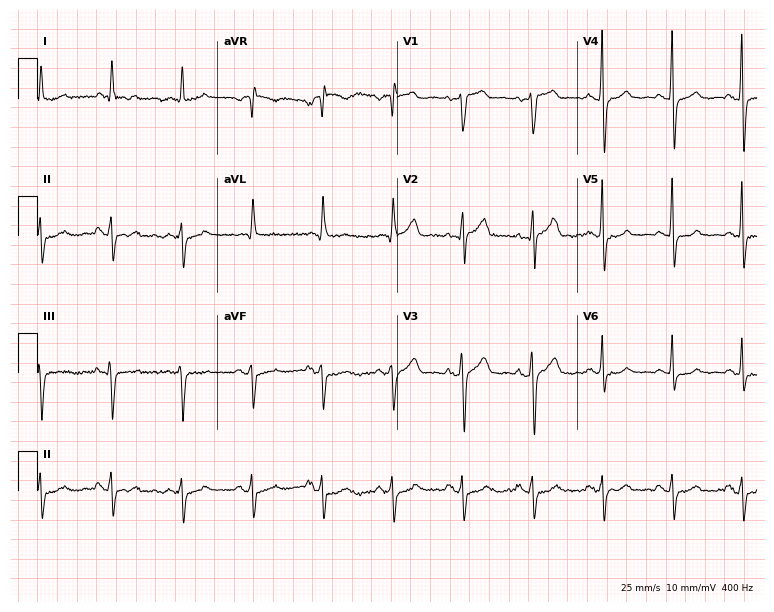
Standard 12-lead ECG recorded from a man, 72 years old. None of these six findings is recorded: first-degree AV block, right bundle branch block (RBBB), left bundle branch block (LBBB), sinus bradycardia, atrial fibrillation (AF), sinus tachycardia. Only these six findings were labelled.